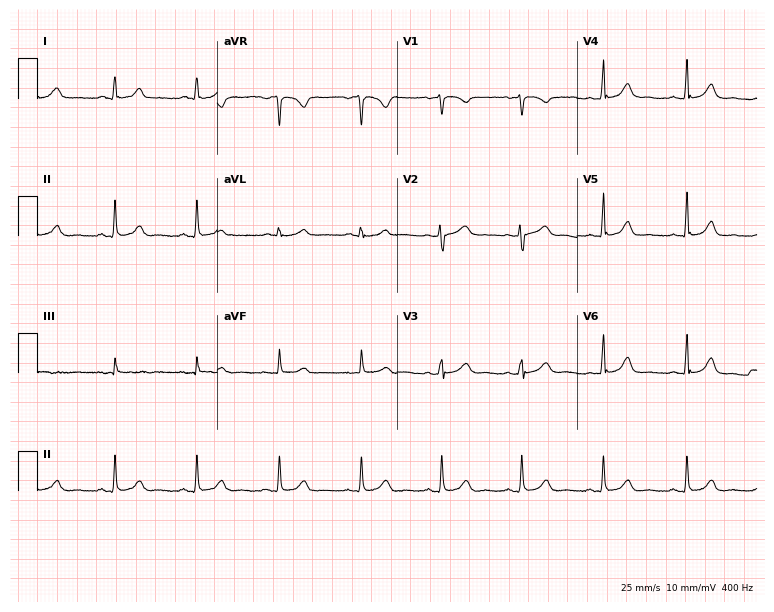
Resting 12-lead electrocardiogram (7.3-second recording at 400 Hz). Patient: a female, 44 years old. Read as a normal ECG.